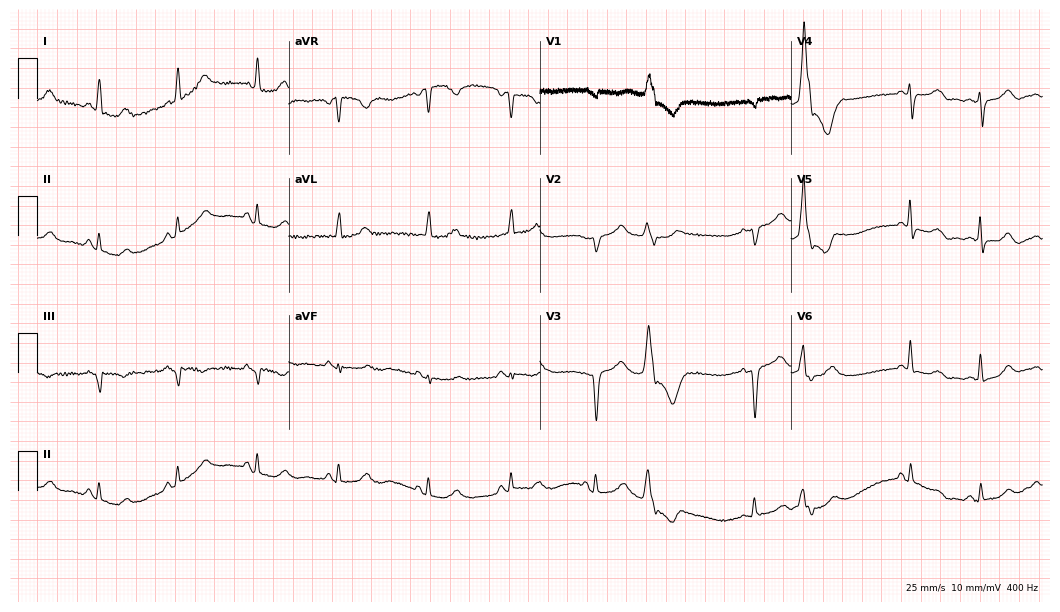
12-lead ECG from a woman, 70 years old. Labelled as a normal ECG.